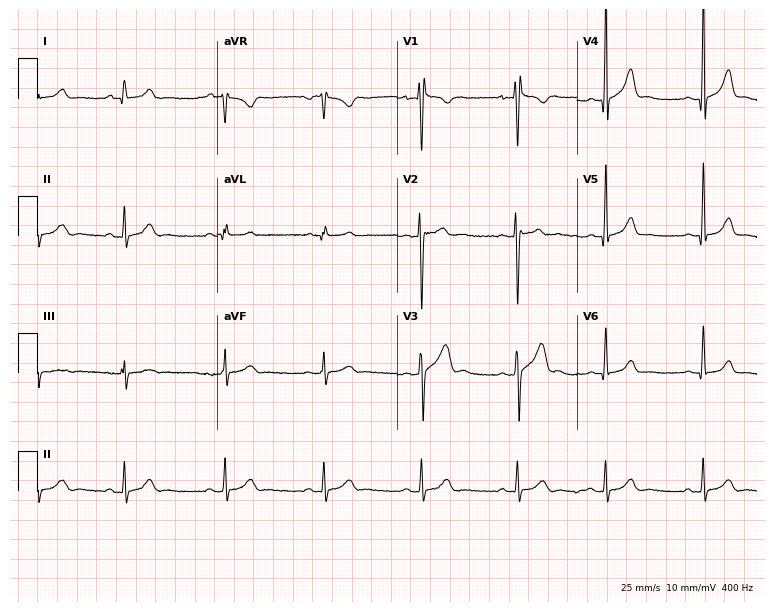
ECG — a 19-year-old male. Labelled as a normal ECG.